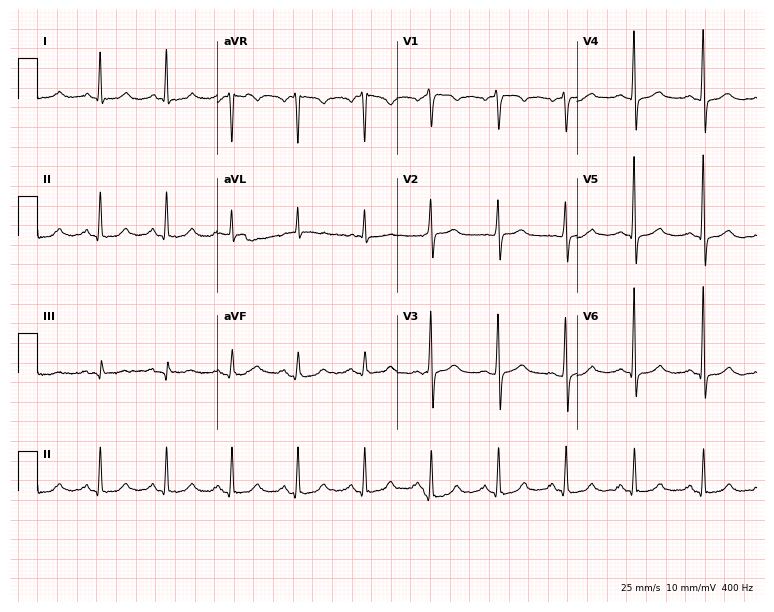
Resting 12-lead electrocardiogram (7.3-second recording at 400 Hz). Patient: a 51-year-old woman. None of these six findings is recorded: first-degree AV block, right bundle branch block (RBBB), left bundle branch block (LBBB), sinus bradycardia, atrial fibrillation (AF), sinus tachycardia.